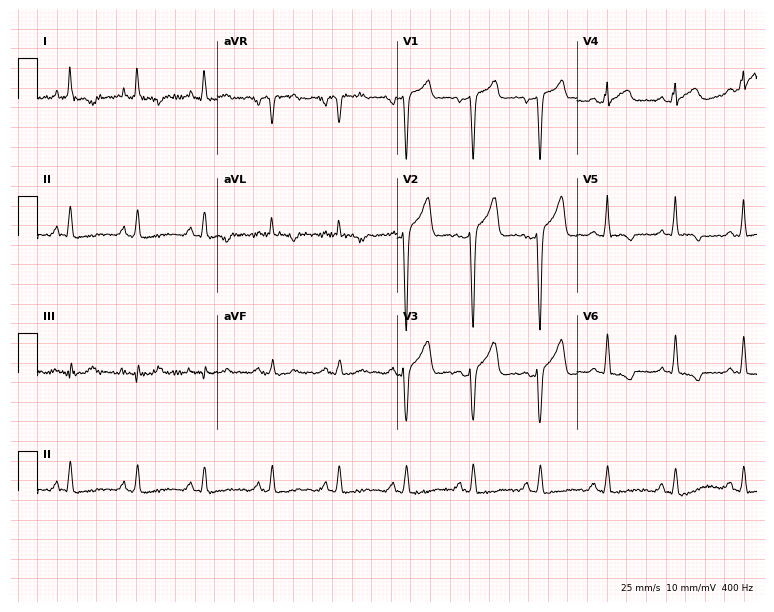
Electrocardiogram (7.3-second recording at 400 Hz), a 61-year-old male. Of the six screened findings (first-degree AV block, right bundle branch block, left bundle branch block, sinus bradycardia, atrial fibrillation, sinus tachycardia), none is recorded. Other findings, if any, are not listed.